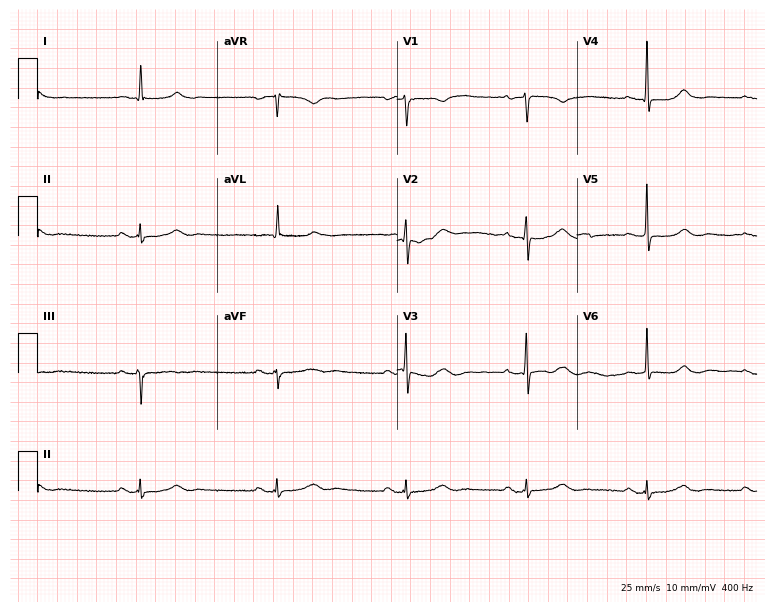
12-lead ECG from a 73-year-old female. Findings include sinus bradycardia (a sinus rate of 50 beats per minute or less).